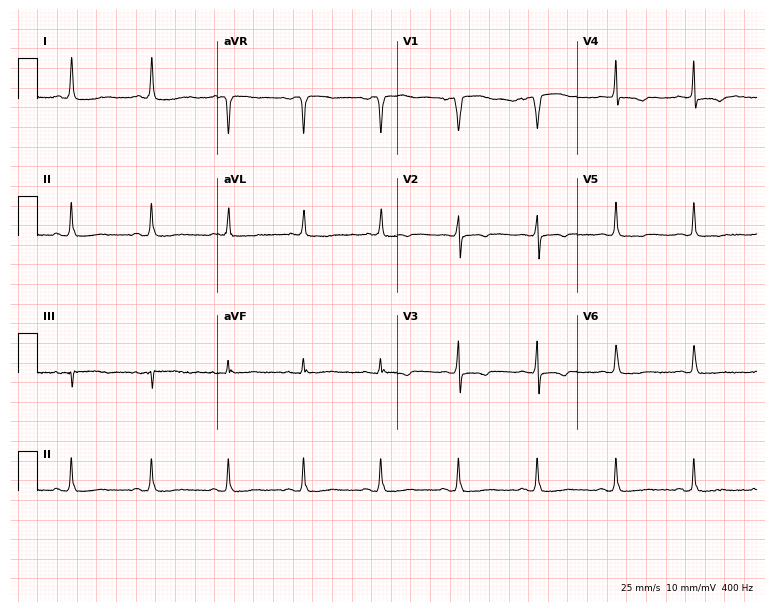
Standard 12-lead ECG recorded from a female patient, 48 years old. None of these six findings is recorded: first-degree AV block, right bundle branch block, left bundle branch block, sinus bradycardia, atrial fibrillation, sinus tachycardia.